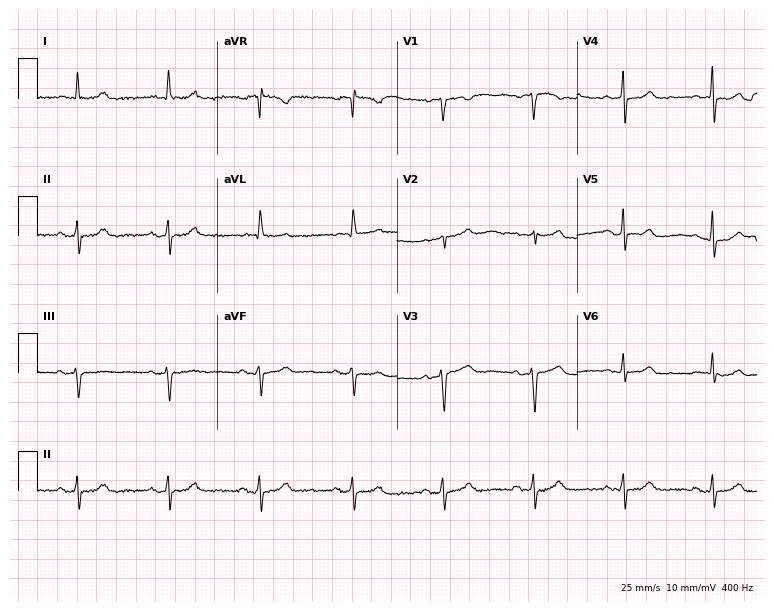
12-lead ECG from a 61-year-old woman (7.3-second recording at 400 Hz). No first-degree AV block, right bundle branch block (RBBB), left bundle branch block (LBBB), sinus bradycardia, atrial fibrillation (AF) or sinus tachycardia recorded for this tracing. Findings outside these six are not listed.